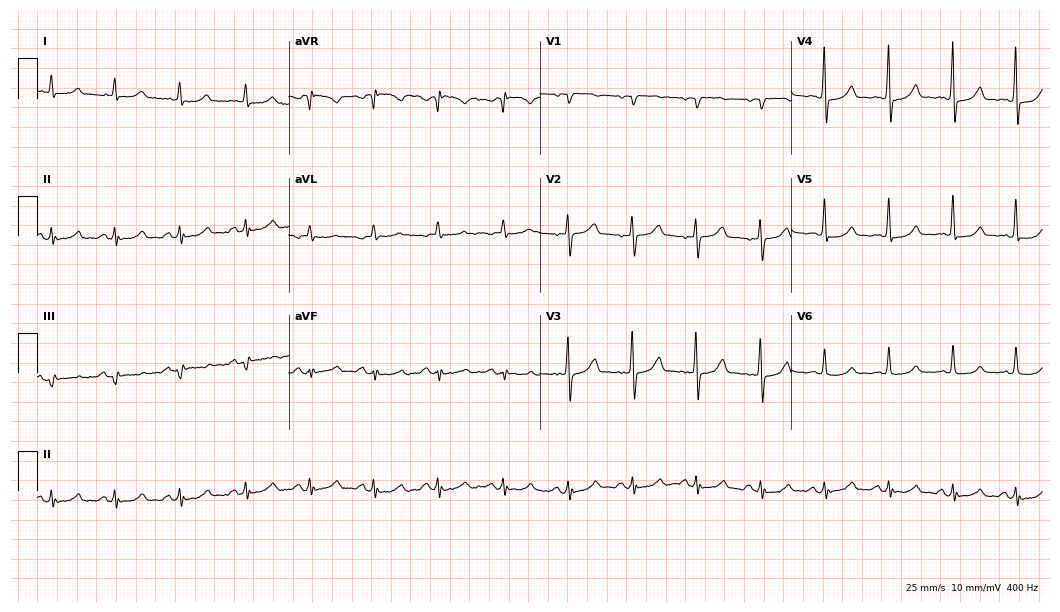
ECG — a female, 79 years old. Screened for six findings — first-degree AV block, right bundle branch block, left bundle branch block, sinus bradycardia, atrial fibrillation, sinus tachycardia — none is recorded. Findings outside these six are not listed.